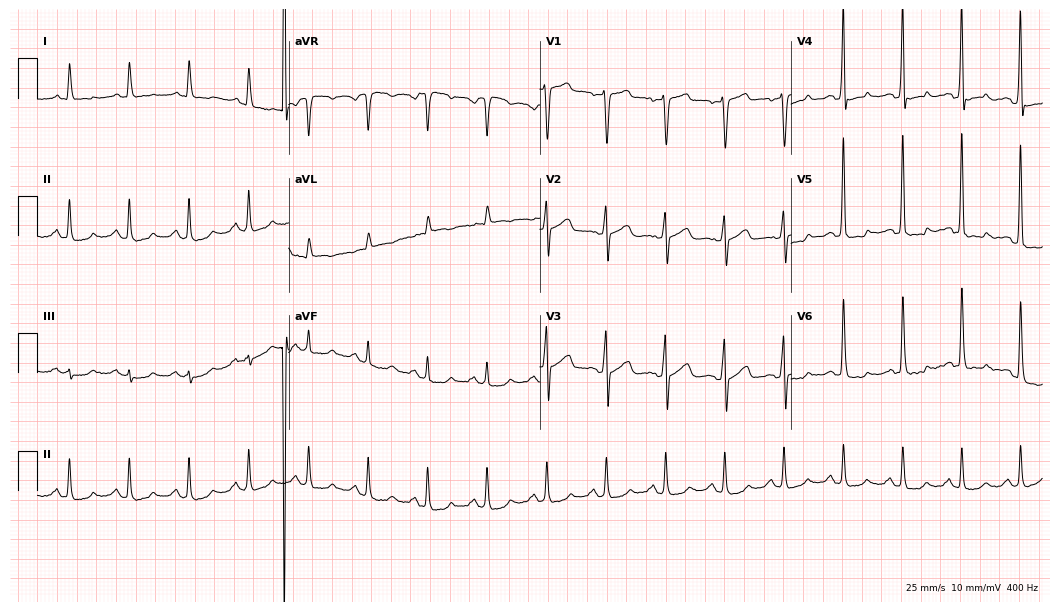
ECG (10.2-second recording at 400 Hz) — a man, 68 years old. Screened for six findings — first-degree AV block, right bundle branch block (RBBB), left bundle branch block (LBBB), sinus bradycardia, atrial fibrillation (AF), sinus tachycardia — none is recorded.